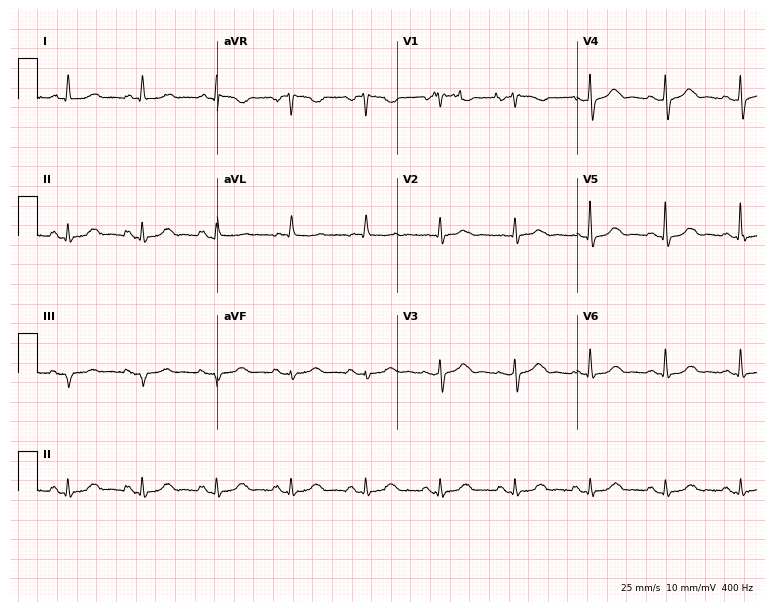
12-lead ECG (7.3-second recording at 400 Hz) from an 80-year-old female patient. Labelled as a normal ECG.